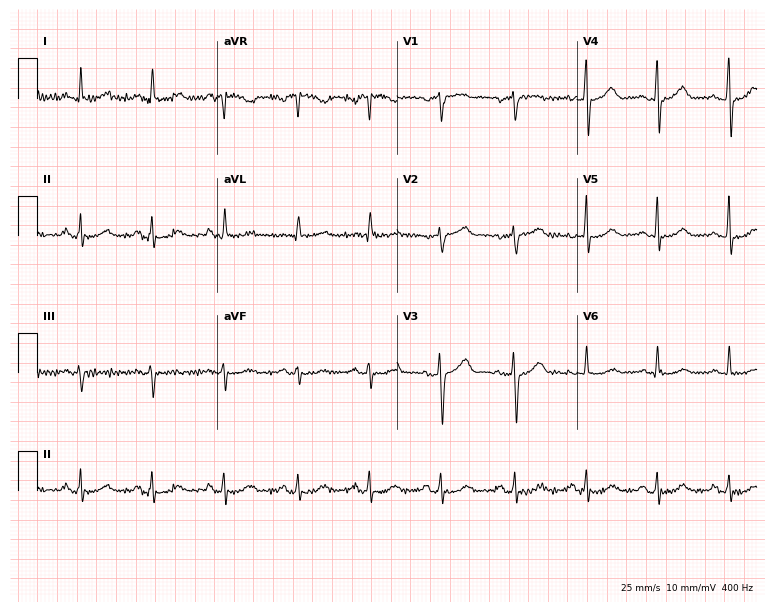
Electrocardiogram, a female, 76 years old. Of the six screened findings (first-degree AV block, right bundle branch block, left bundle branch block, sinus bradycardia, atrial fibrillation, sinus tachycardia), none is recorded.